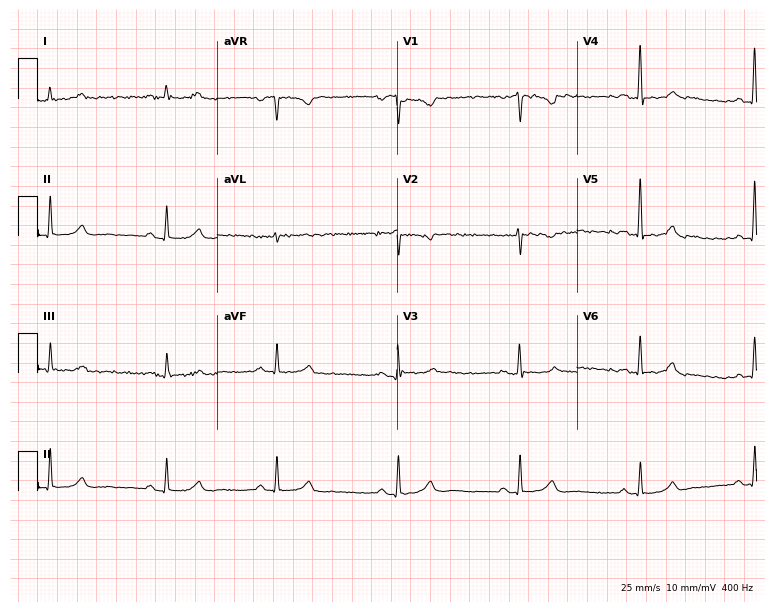
12-lead ECG (7.3-second recording at 400 Hz) from a female patient, 52 years old. Screened for six findings — first-degree AV block, right bundle branch block (RBBB), left bundle branch block (LBBB), sinus bradycardia, atrial fibrillation (AF), sinus tachycardia — none is recorded.